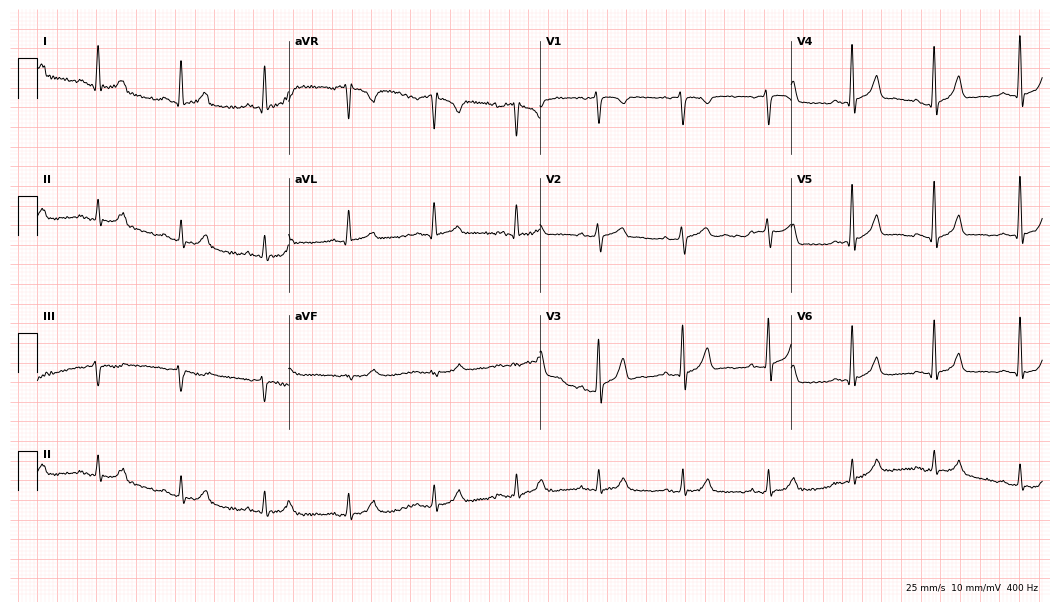
12-lead ECG from a 40-year-old male patient. Screened for six findings — first-degree AV block, right bundle branch block, left bundle branch block, sinus bradycardia, atrial fibrillation, sinus tachycardia — none is recorded. Only these six findings were labelled.